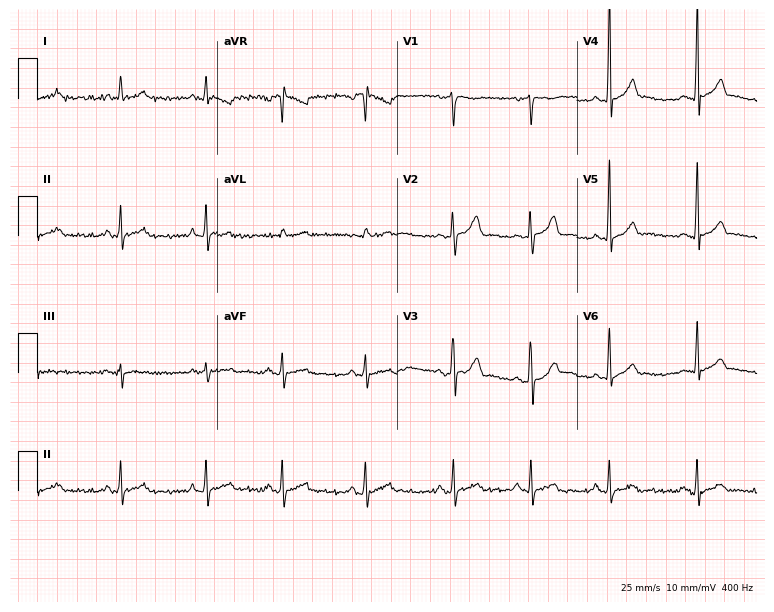
ECG (7.3-second recording at 400 Hz) — a 24-year-old woman. Screened for six findings — first-degree AV block, right bundle branch block, left bundle branch block, sinus bradycardia, atrial fibrillation, sinus tachycardia — none is recorded.